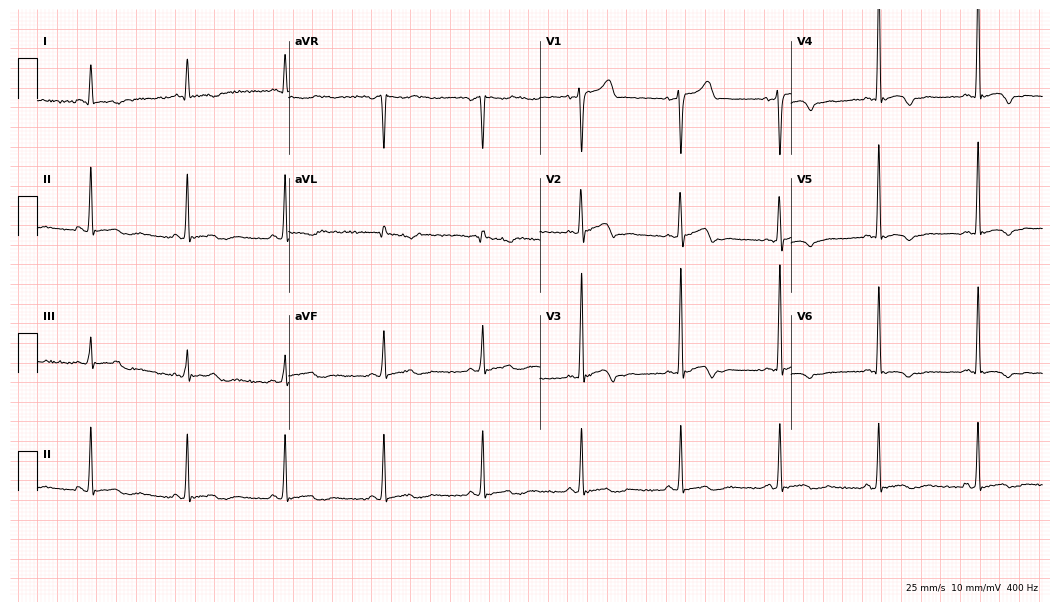
Standard 12-lead ECG recorded from a 39-year-old man (10.2-second recording at 400 Hz). Read as a normal ECG.